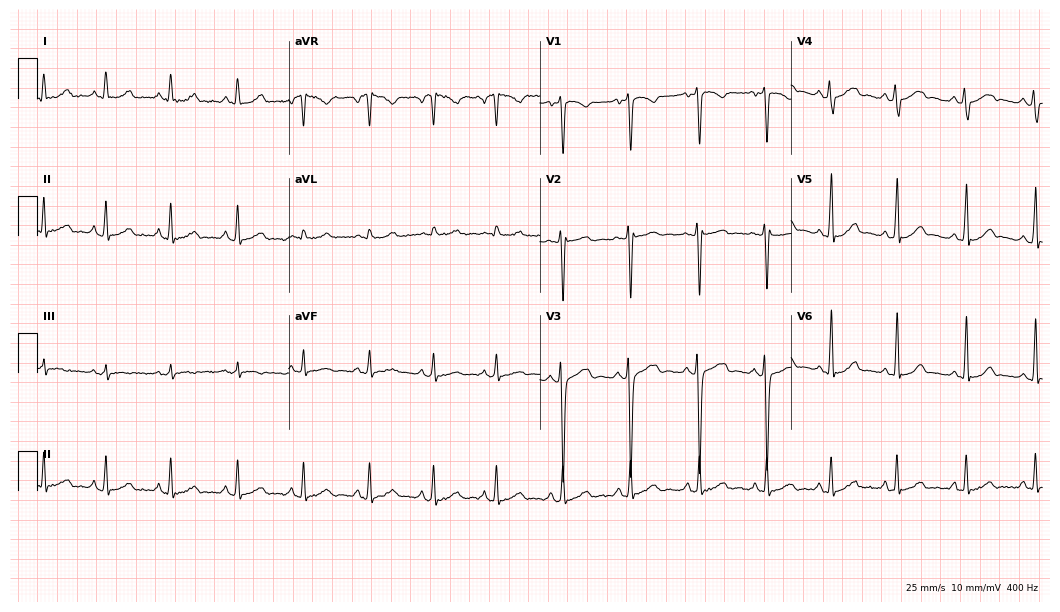
12-lead ECG (10.2-second recording at 400 Hz) from a female, 21 years old. Screened for six findings — first-degree AV block, right bundle branch block, left bundle branch block, sinus bradycardia, atrial fibrillation, sinus tachycardia — none is recorded.